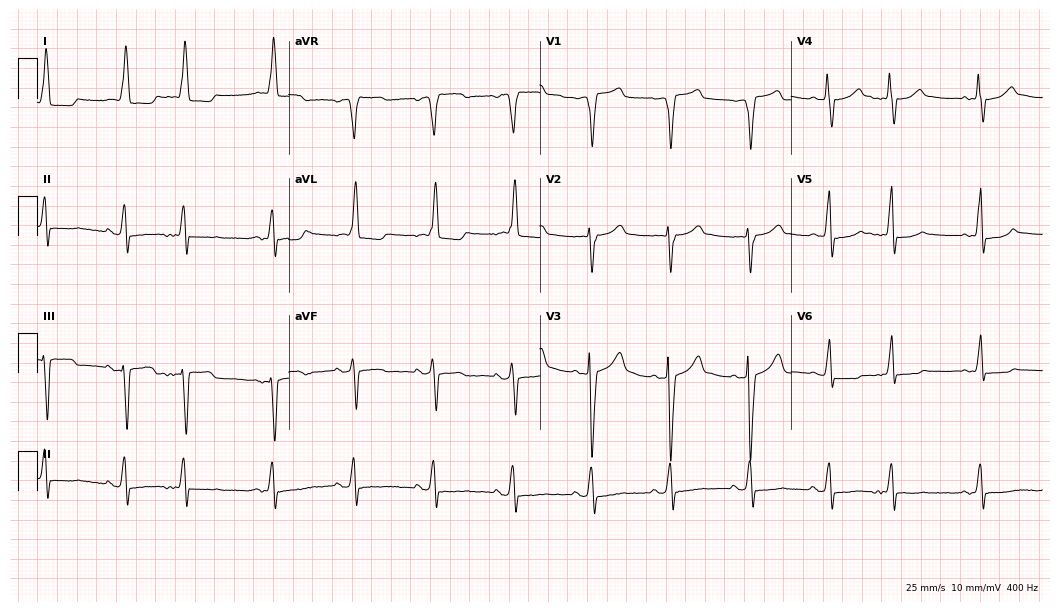
12-lead ECG from a 71-year-old woman. Screened for six findings — first-degree AV block, right bundle branch block, left bundle branch block, sinus bradycardia, atrial fibrillation, sinus tachycardia — none is recorded.